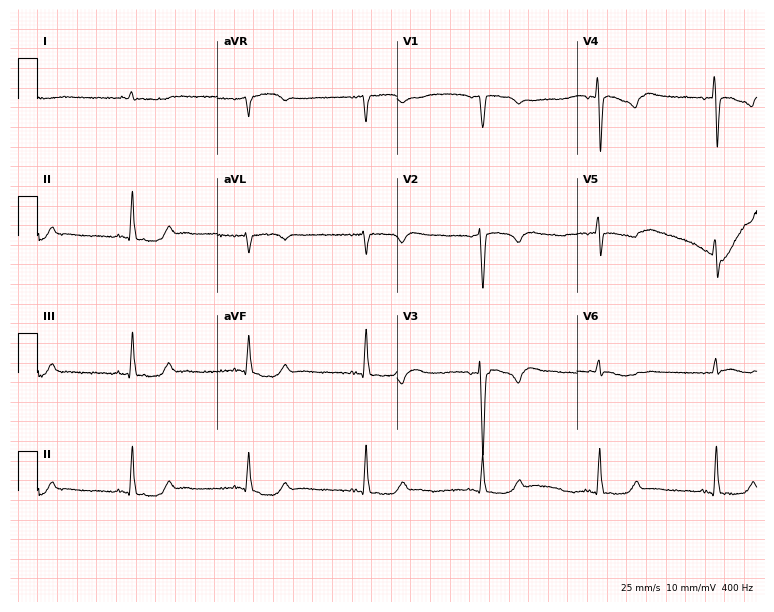
12-lead ECG from a man, 73 years old. Shows sinus bradycardia (a sinus rate of 50 beats per minute or less).